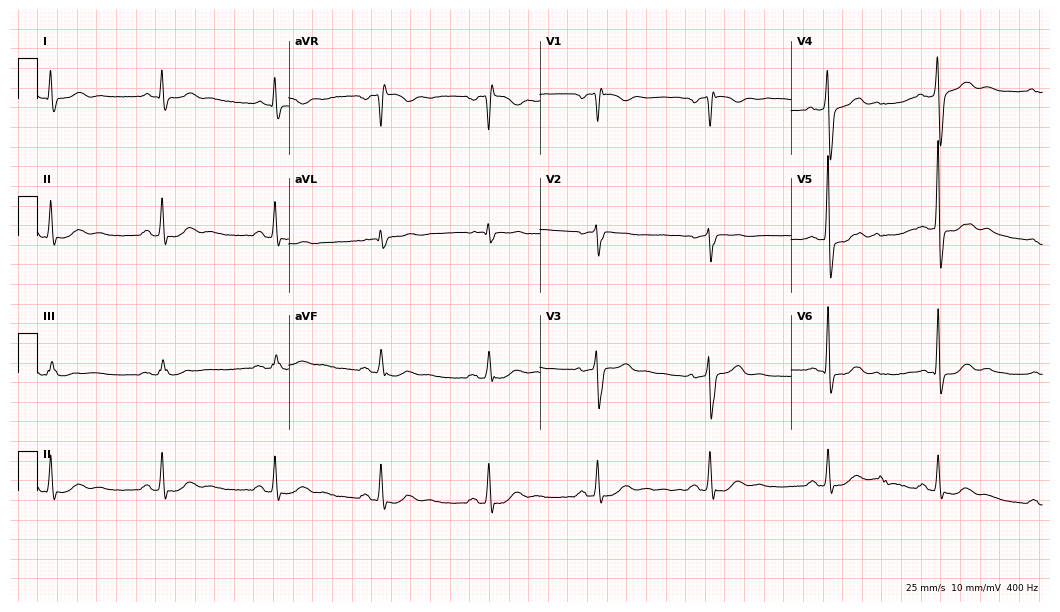
Electrocardiogram (10.2-second recording at 400 Hz), a male patient, 62 years old. Of the six screened findings (first-degree AV block, right bundle branch block, left bundle branch block, sinus bradycardia, atrial fibrillation, sinus tachycardia), none is recorded. Other findings, if any, are not listed.